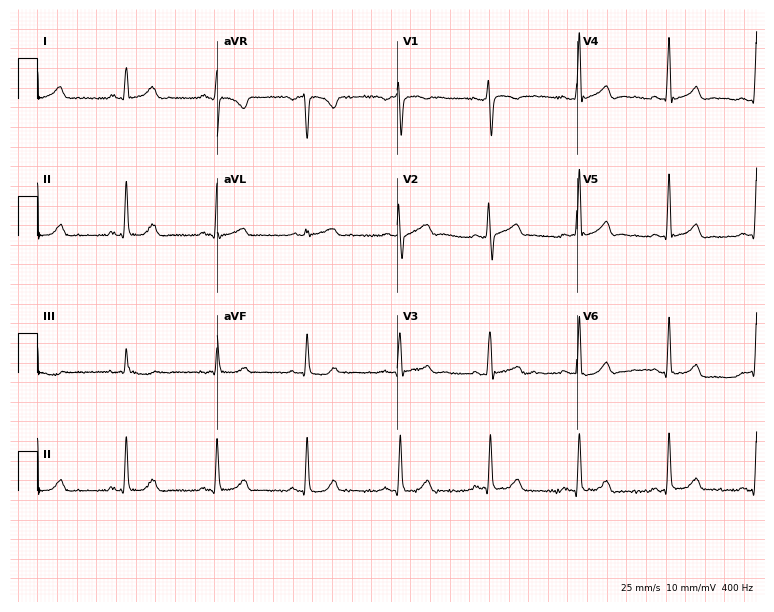
Electrocardiogram (7.3-second recording at 400 Hz), a female patient, 27 years old. Of the six screened findings (first-degree AV block, right bundle branch block (RBBB), left bundle branch block (LBBB), sinus bradycardia, atrial fibrillation (AF), sinus tachycardia), none is recorded.